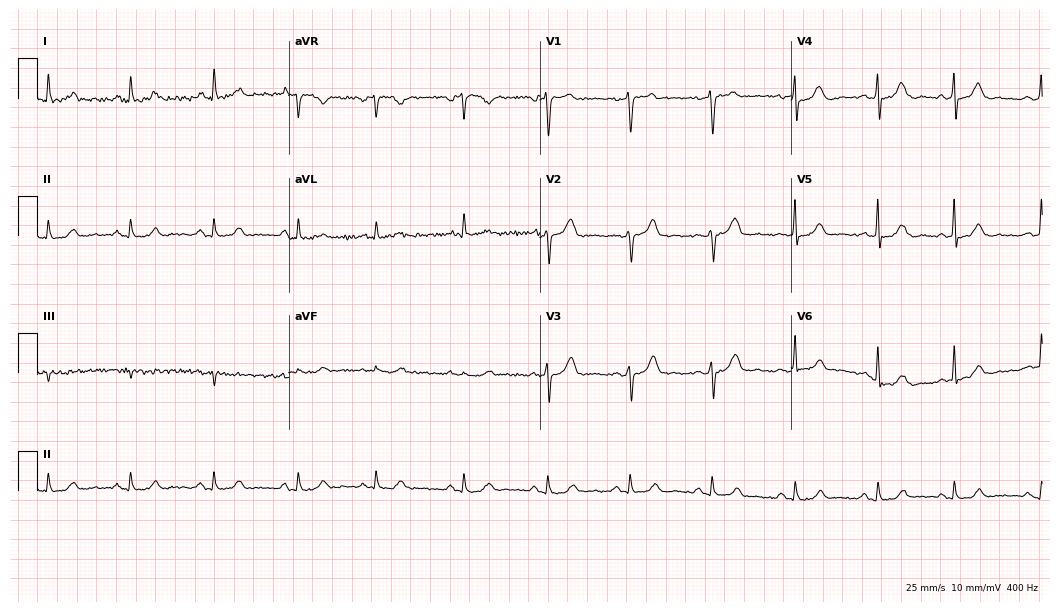
12-lead ECG (10.2-second recording at 400 Hz) from a female patient, 56 years old. Screened for six findings — first-degree AV block, right bundle branch block, left bundle branch block, sinus bradycardia, atrial fibrillation, sinus tachycardia — none is recorded.